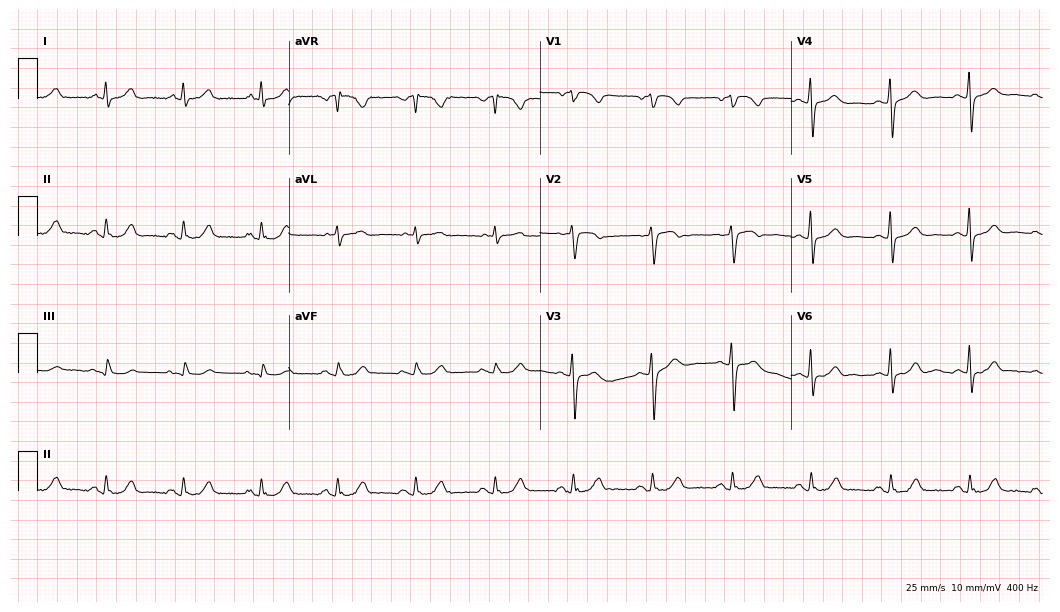
12-lead ECG (10.2-second recording at 400 Hz) from a 70-year-old female. Labelled as a normal ECG.